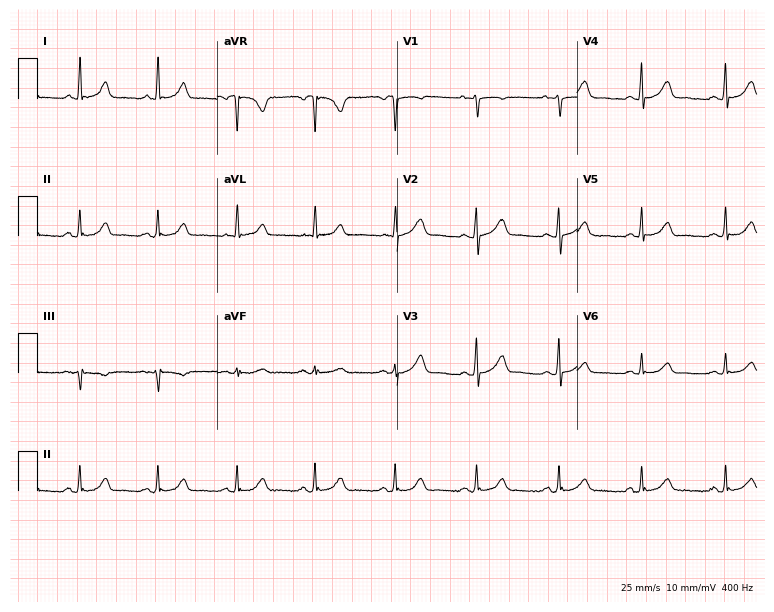
Resting 12-lead electrocardiogram (7.3-second recording at 400 Hz). Patient: a female, 59 years old. Read as a normal ECG.